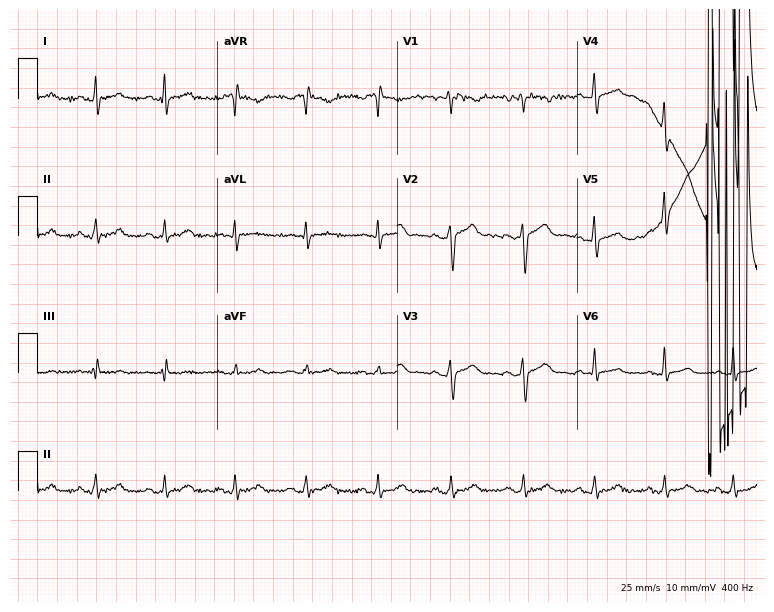
ECG — a 29-year-old male patient. Screened for six findings — first-degree AV block, right bundle branch block (RBBB), left bundle branch block (LBBB), sinus bradycardia, atrial fibrillation (AF), sinus tachycardia — none is recorded. Other findings, if any, are not listed.